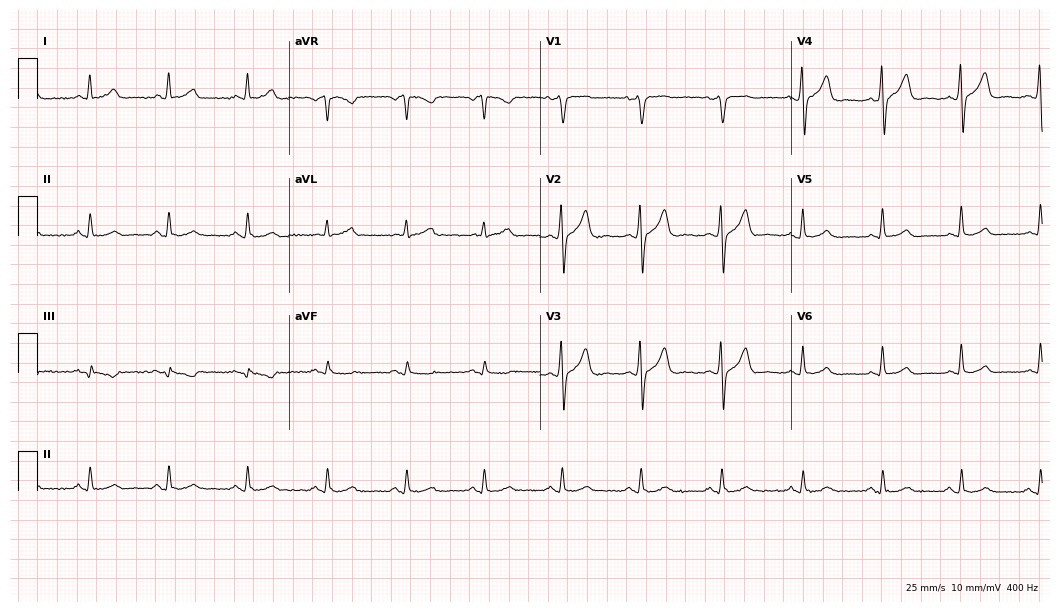
Standard 12-lead ECG recorded from a male patient, 51 years old. Read as a normal ECG.